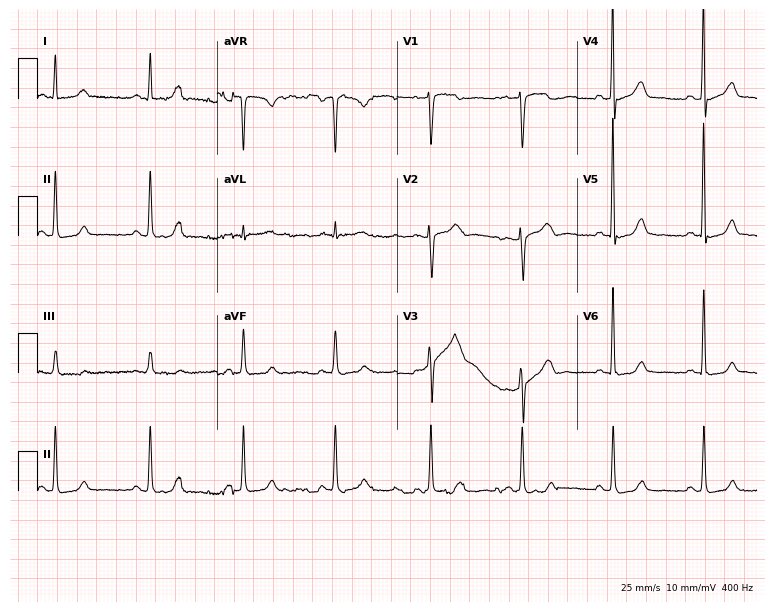
Electrocardiogram, a 38-year-old woman. Overall reading on record: normal ECG.